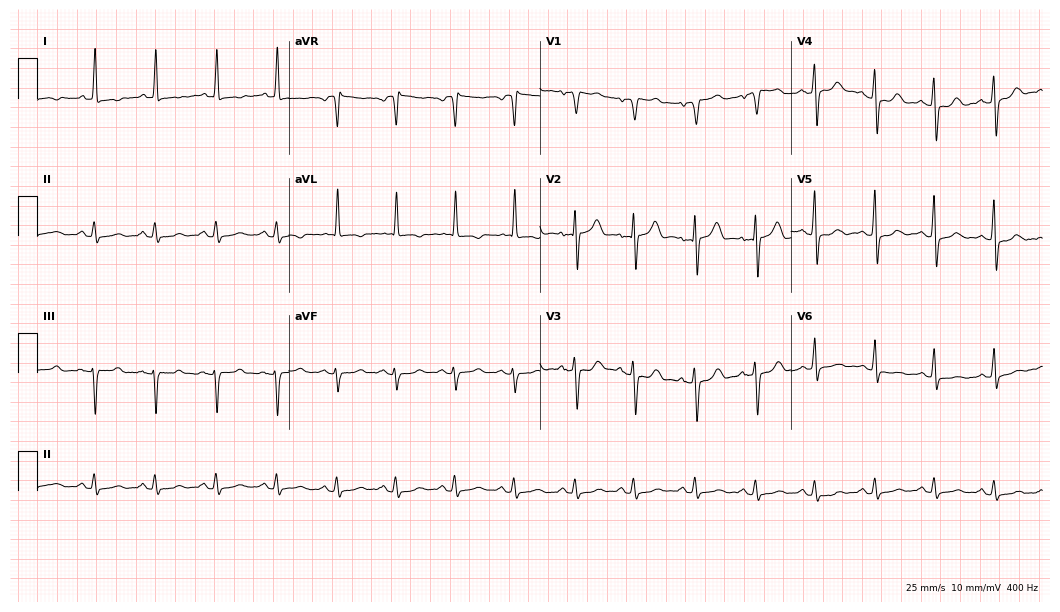
12-lead ECG from a 57-year-old man (10.2-second recording at 400 Hz). No first-degree AV block, right bundle branch block, left bundle branch block, sinus bradycardia, atrial fibrillation or sinus tachycardia recorded for this tracing. Other findings, if any, are not listed.